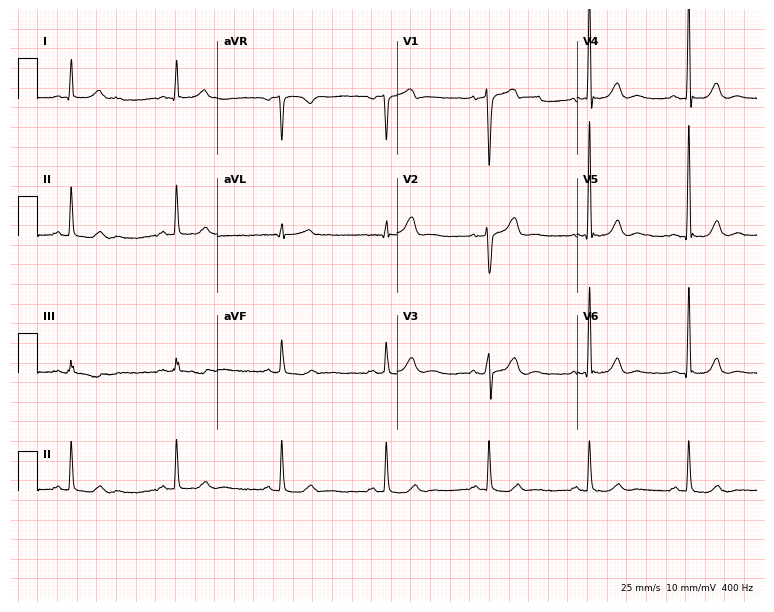
12-lead ECG from a 72-year-old man. Screened for six findings — first-degree AV block, right bundle branch block (RBBB), left bundle branch block (LBBB), sinus bradycardia, atrial fibrillation (AF), sinus tachycardia — none is recorded. Other findings, if any, are not listed.